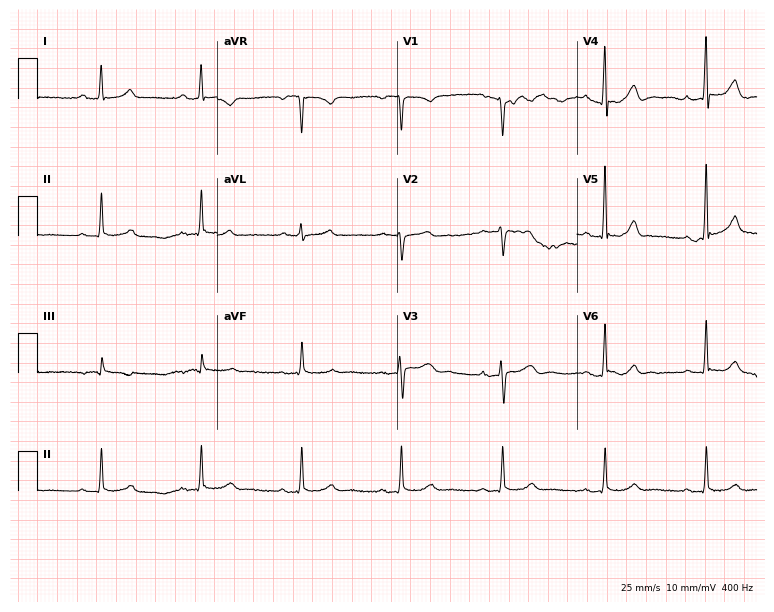
Resting 12-lead electrocardiogram (7.3-second recording at 400 Hz). Patient: a man, 72 years old. None of these six findings is recorded: first-degree AV block, right bundle branch block, left bundle branch block, sinus bradycardia, atrial fibrillation, sinus tachycardia. Other findings, if any, are not listed.